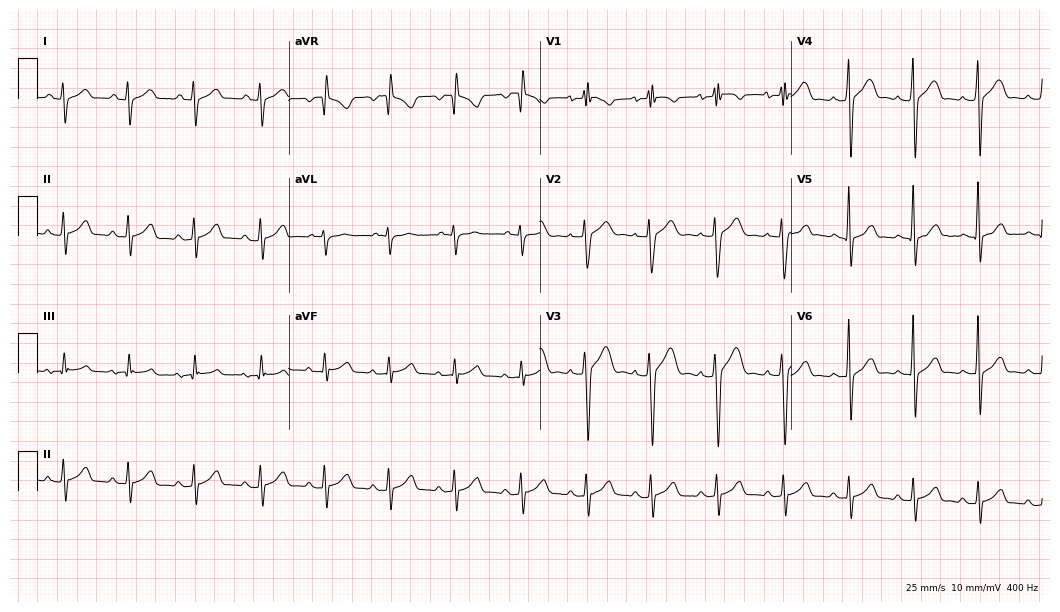
12-lead ECG from a male patient, 17 years old (10.2-second recording at 400 Hz). No first-degree AV block, right bundle branch block (RBBB), left bundle branch block (LBBB), sinus bradycardia, atrial fibrillation (AF) or sinus tachycardia recorded for this tracing.